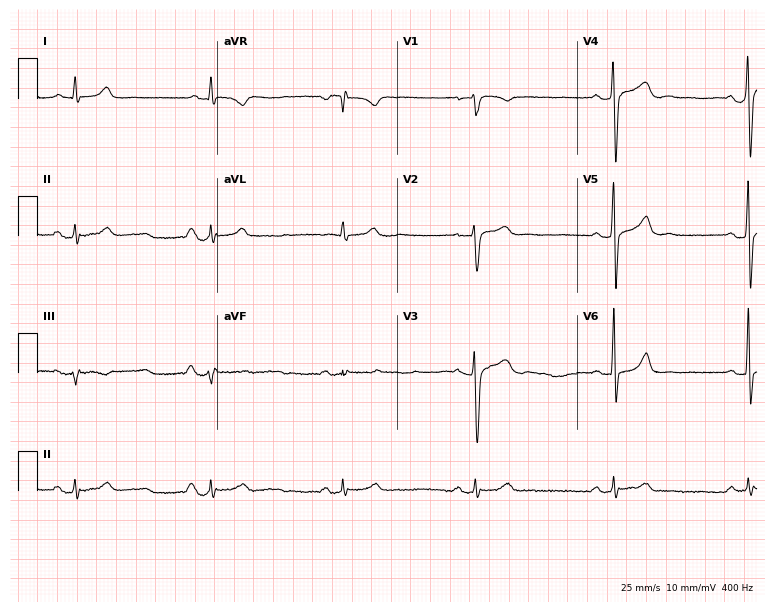
Standard 12-lead ECG recorded from a 51-year-old man (7.3-second recording at 400 Hz). The tracing shows sinus bradycardia (a sinus rate of 50 beats per minute or less).